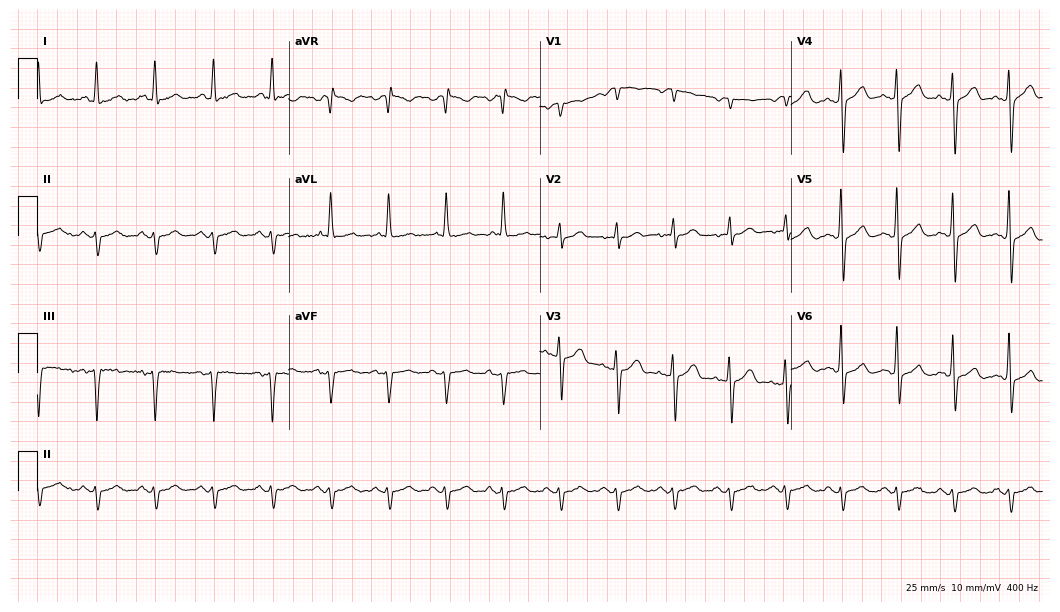
ECG — a 74-year-old male patient. Findings include sinus tachycardia (a sinus rate of 100 beats per minute or more).